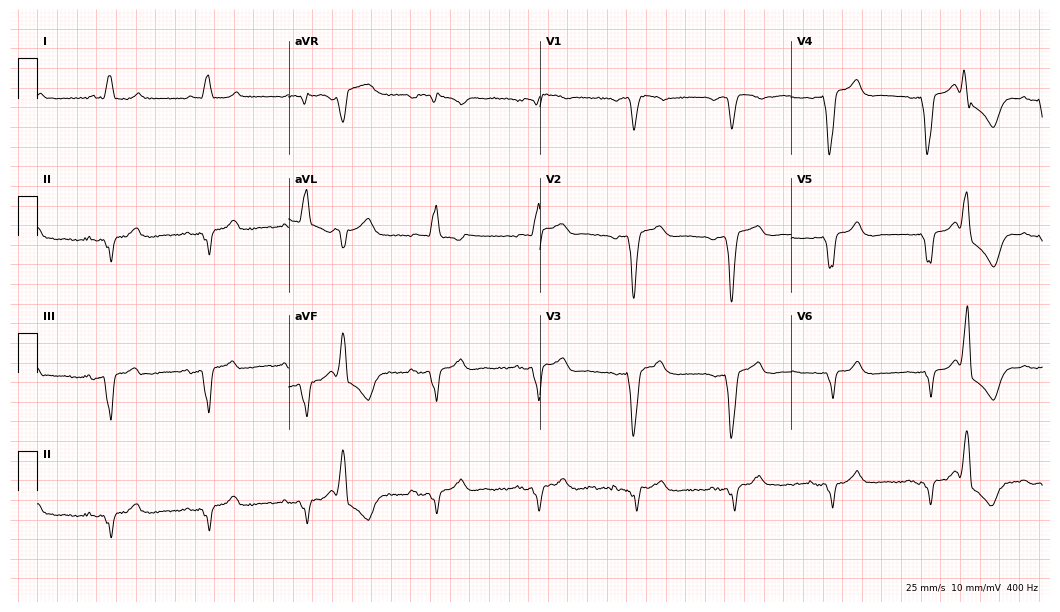
12-lead ECG from a 65-year-old female (10.2-second recording at 400 Hz). Shows left bundle branch block.